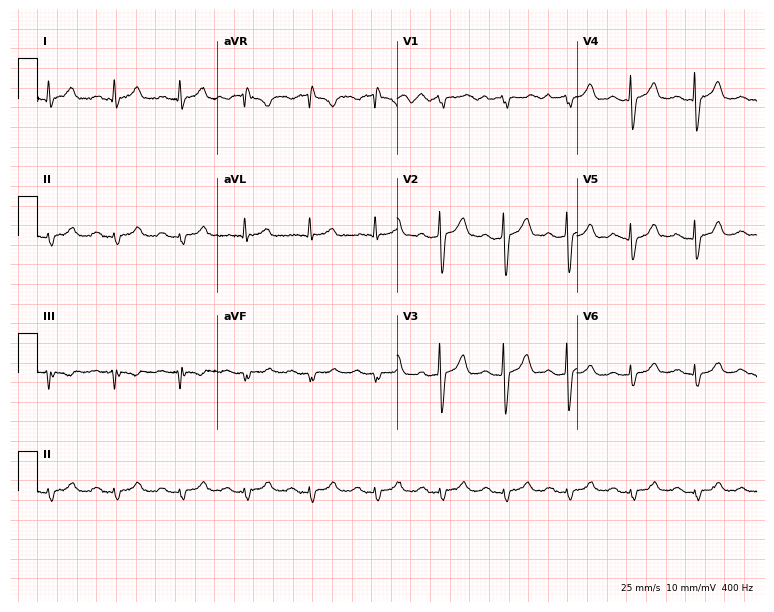
Standard 12-lead ECG recorded from a 63-year-old man (7.3-second recording at 400 Hz). None of these six findings is recorded: first-degree AV block, right bundle branch block, left bundle branch block, sinus bradycardia, atrial fibrillation, sinus tachycardia.